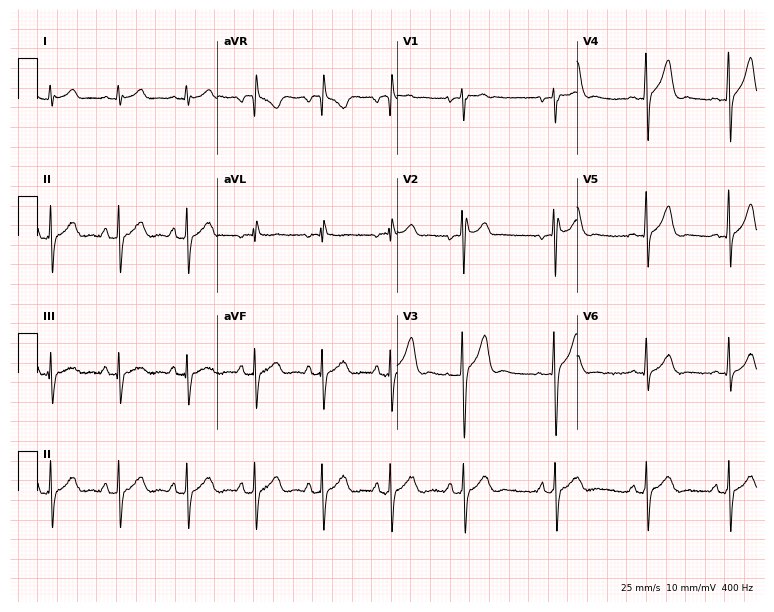
ECG — a male, 28 years old. Screened for six findings — first-degree AV block, right bundle branch block, left bundle branch block, sinus bradycardia, atrial fibrillation, sinus tachycardia — none is recorded. Only these six findings were labelled.